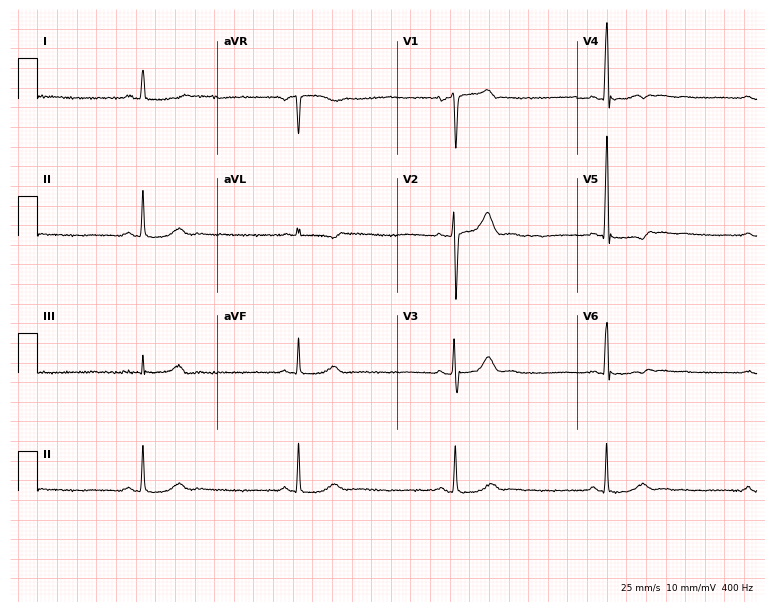
Electrocardiogram, a man, 50 years old. Interpretation includes sinus bradycardia (a sinus rate of 50 beats per minute or less).